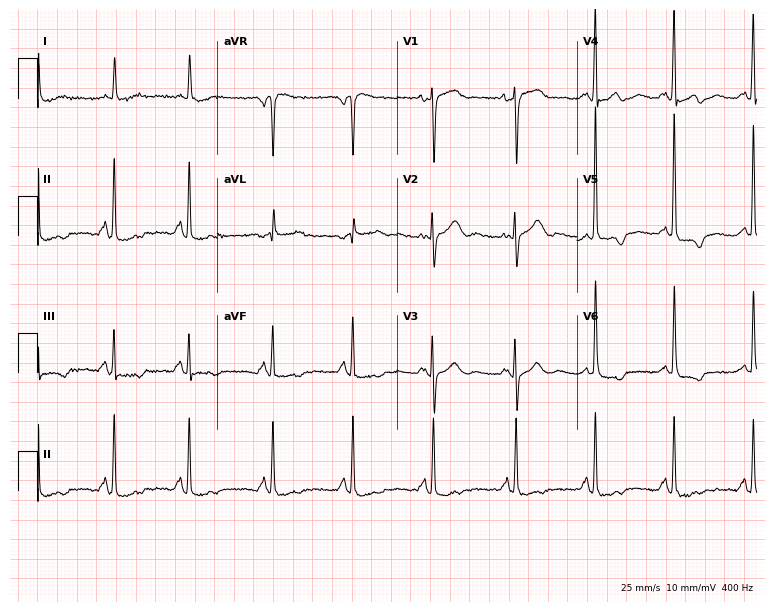
12-lead ECG from a 70-year-old female patient (7.3-second recording at 400 Hz). No first-degree AV block, right bundle branch block (RBBB), left bundle branch block (LBBB), sinus bradycardia, atrial fibrillation (AF) or sinus tachycardia recorded for this tracing.